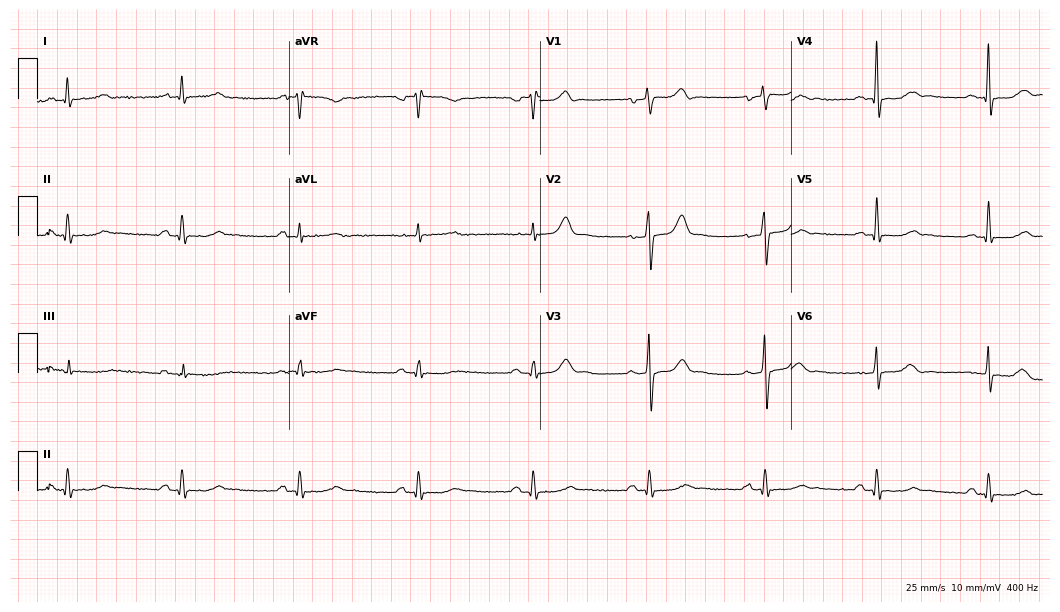
Electrocardiogram (10.2-second recording at 400 Hz), a 54-year-old man. Overall reading on record: normal ECG.